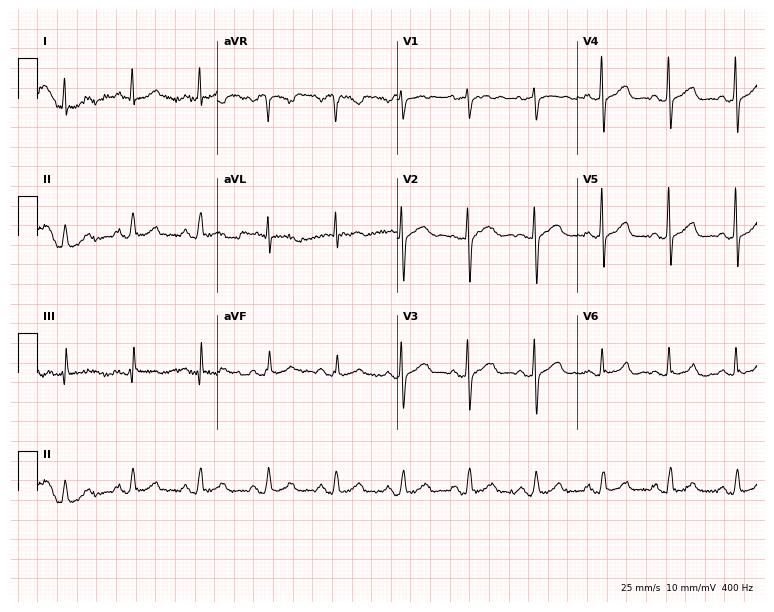
Electrocardiogram (7.3-second recording at 400 Hz), a 60-year-old female patient. Of the six screened findings (first-degree AV block, right bundle branch block (RBBB), left bundle branch block (LBBB), sinus bradycardia, atrial fibrillation (AF), sinus tachycardia), none is recorded.